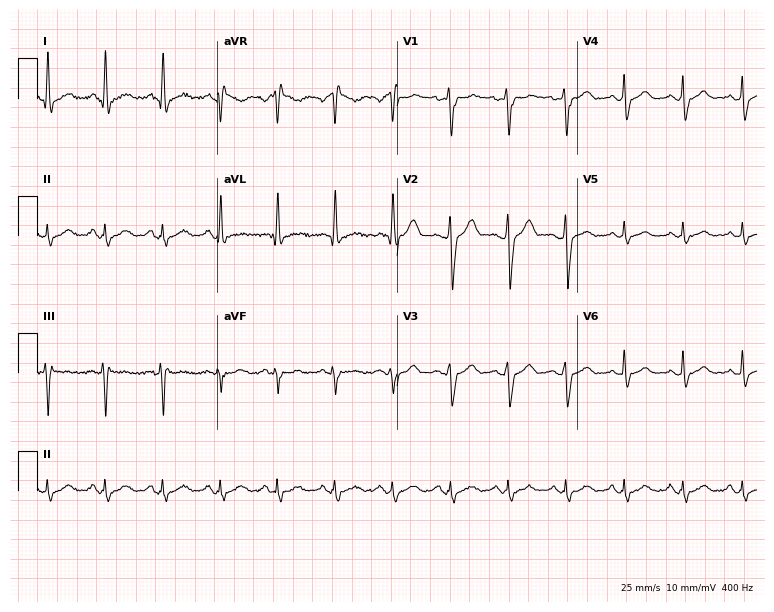
Resting 12-lead electrocardiogram. Patient: a 43-year-old man. The tracing shows sinus tachycardia (a sinus rate of 100 beats per minute or more).